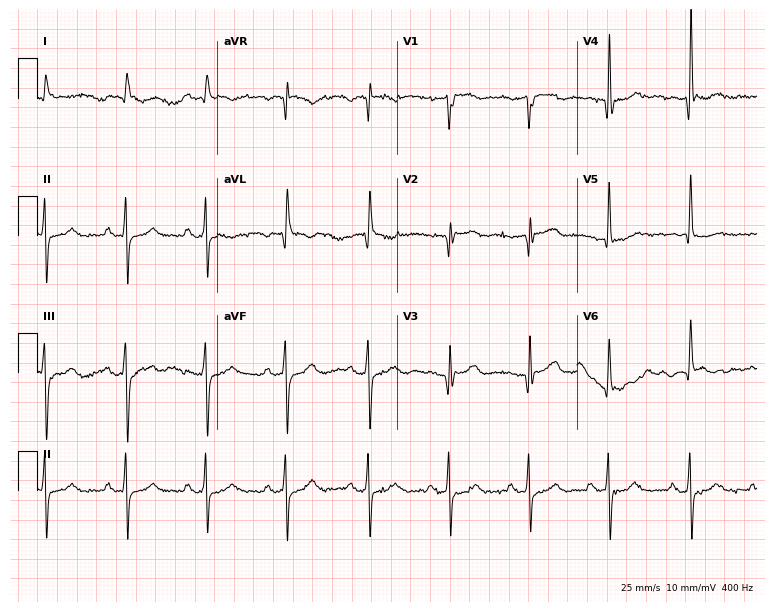
12-lead ECG from a male patient, 83 years old. No first-degree AV block, right bundle branch block, left bundle branch block, sinus bradycardia, atrial fibrillation or sinus tachycardia recorded for this tracing. Findings outside these six are not listed.